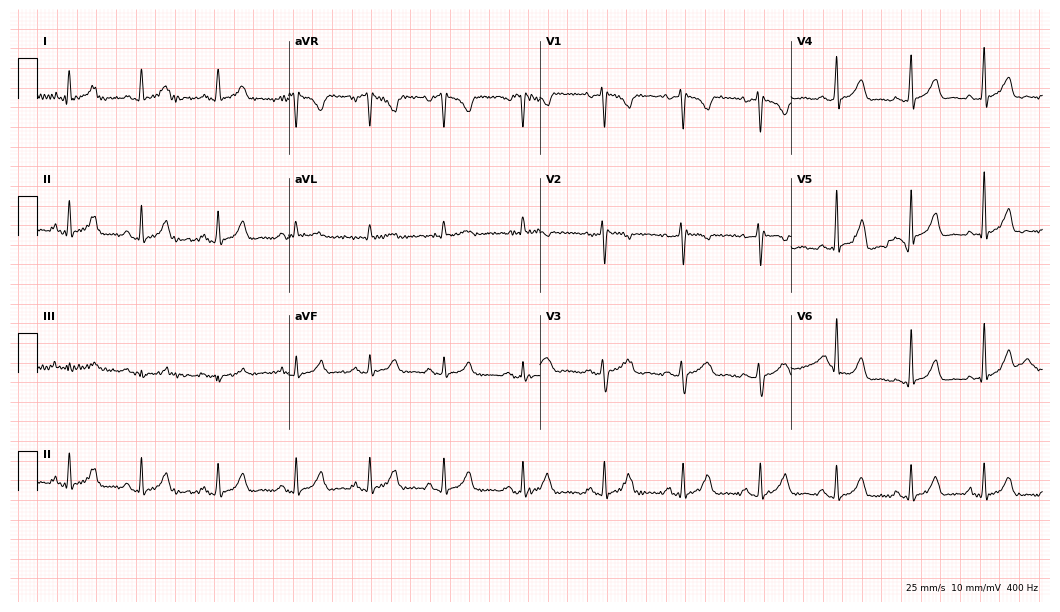
12-lead ECG (10.2-second recording at 400 Hz) from a female, 25 years old. Screened for six findings — first-degree AV block, right bundle branch block, left bundle branch block, sinus bradycardia, atrial fibrillation, sinus tachycardia — none is recorded. Findings outside these six are not listed.